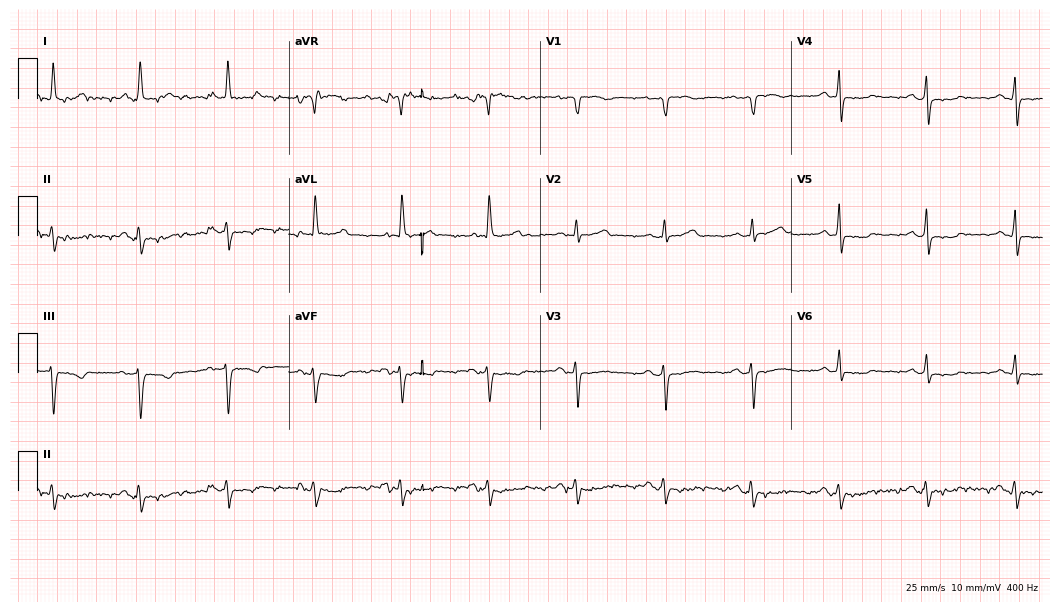
Electrocardiogram (10.2-second recording at 400 Hz), a 77-year-old female patient. Of the six screened findings (first-degree AV block, right bundle branch block, left bundle branch block, sinus bradycardia, atrial fibrillation, sinus tachycardia), none is recorded. Only these six findings were labelled.